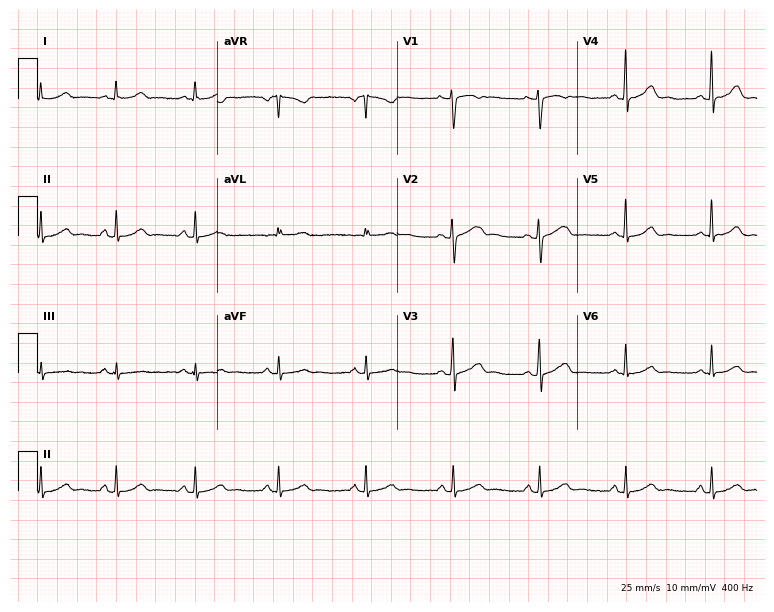
Resting 12-lead electrocardiogram. Patient: a 44-year-old woman. None of these six findings is recorded: first-degree AV block, right bundle branch block (RBBB), left bundle branch block (LBBB), sinus bradycardia, atrial fibrillation (AF), sinus tachycardia. Findings outside these six are not listed.